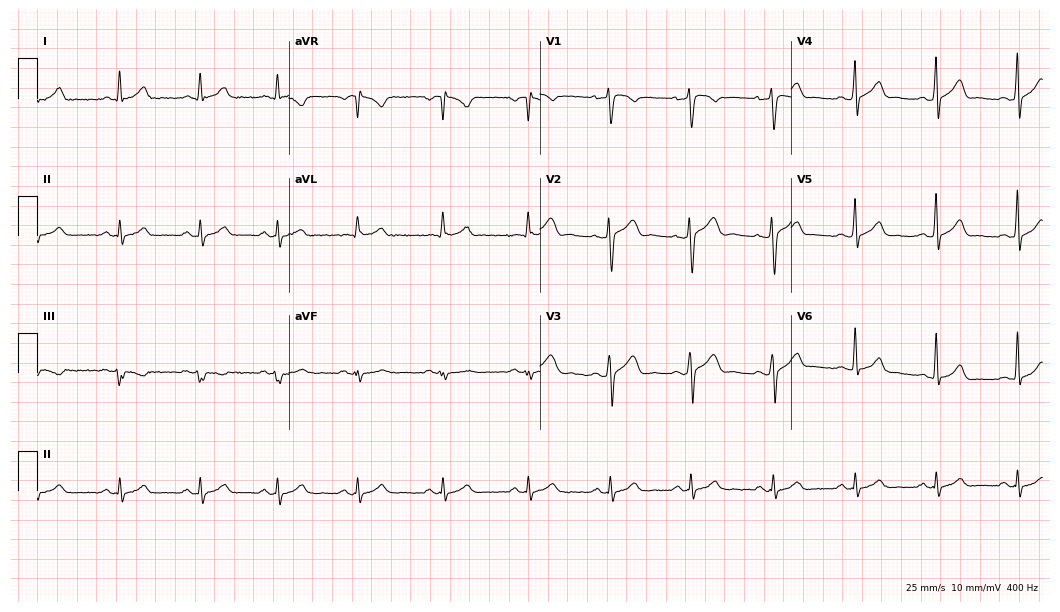
Resting 12-lead electrocardiogram. Patient: a male, 33 years old. Read as a normal ECG.